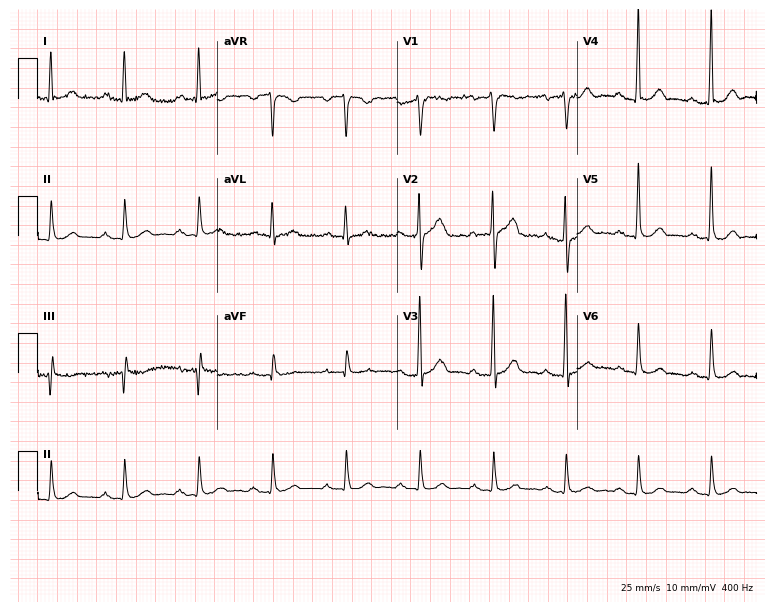
ECG — a 54-year-old male patient. Labelled as a normal ECG.